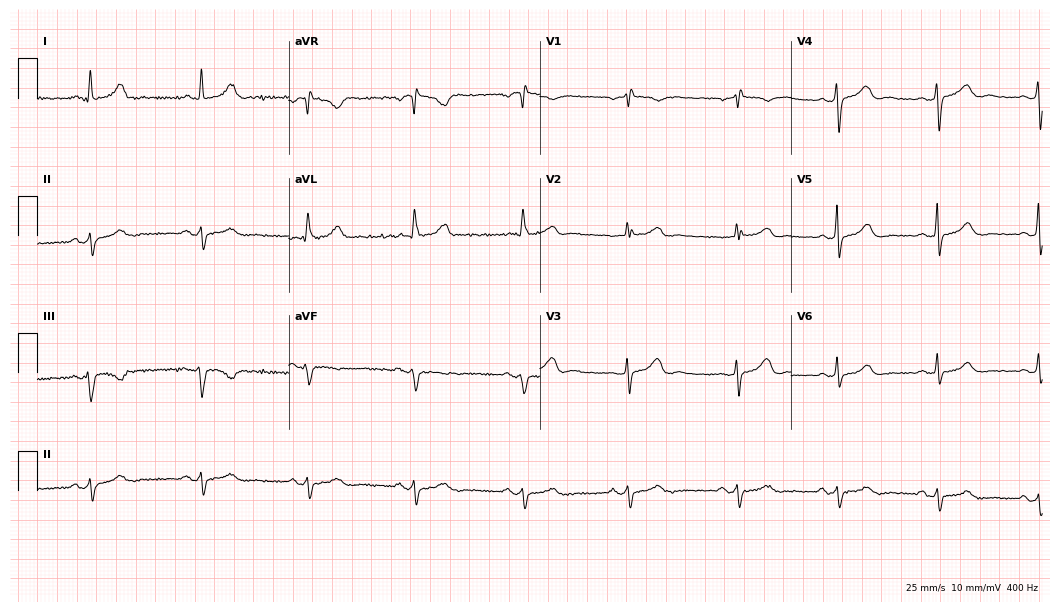
Electrocardiogram, a 34-year-old female patient. Of the six screened findings (first-degree AV block, right bundle branch block (RBBB), left bundle branch block (LBBB), sinus bradycardia, atrial fibrillation (AF), sinus tachycardia), none is recorded.